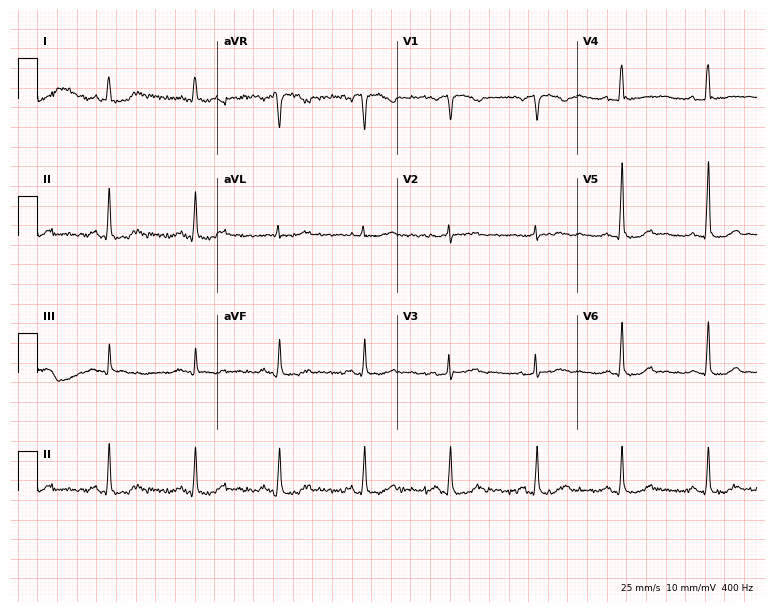
ECG (7.3-second recording at 400 Hz) — a woman, 66 years old. Labelled as a normal ECG.